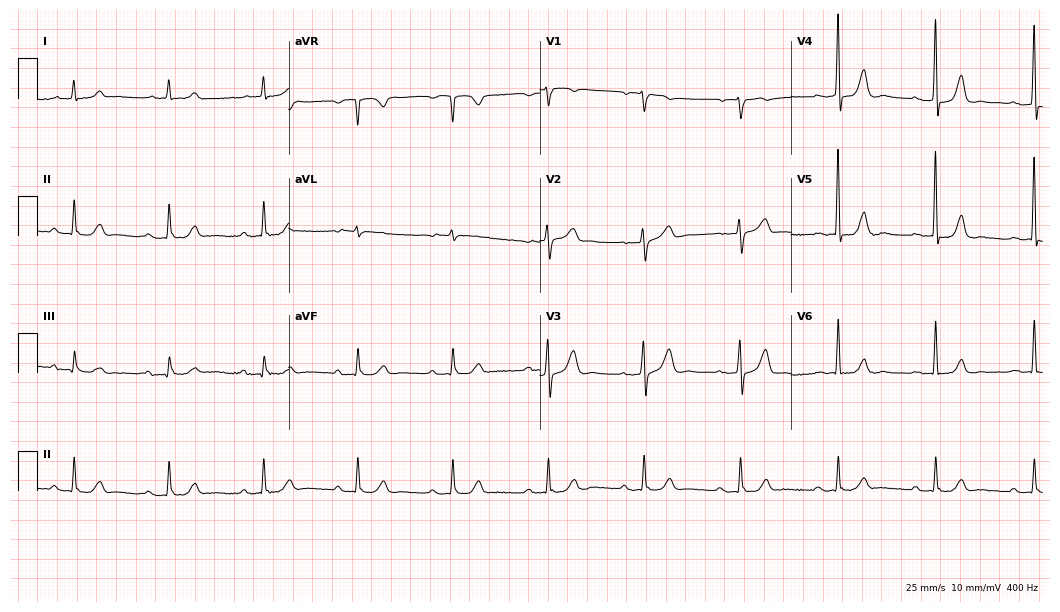
Resting 12-lead electrocardiogram (10.2-second recording at 400 Hz). Patient: a male, 80 years old. The tracing shows first-degree AV block.